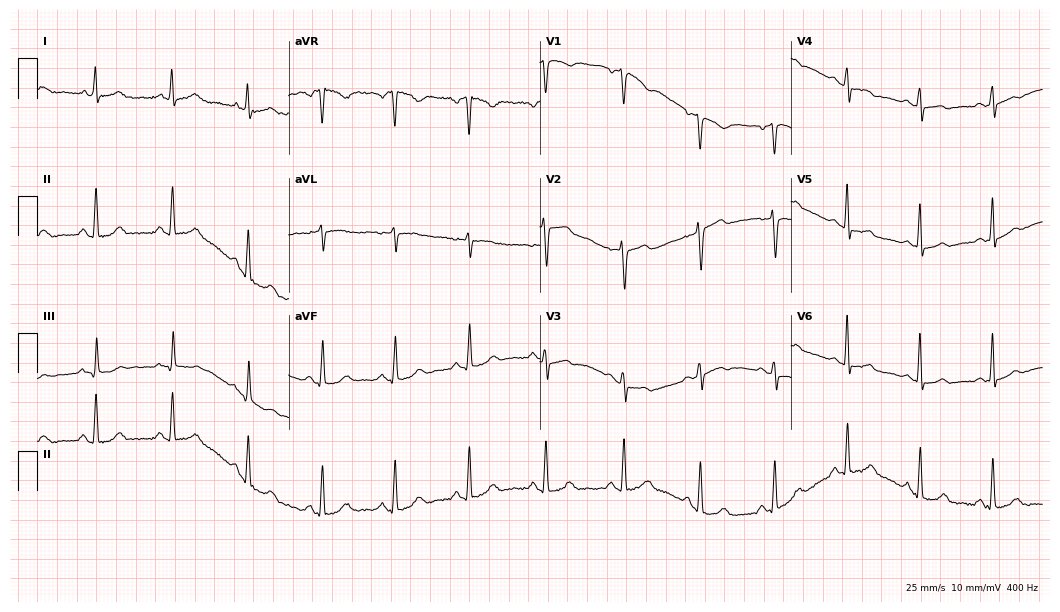
Electrocardiogram, a 56-year-old female. Overall reading on record: normal ECG.